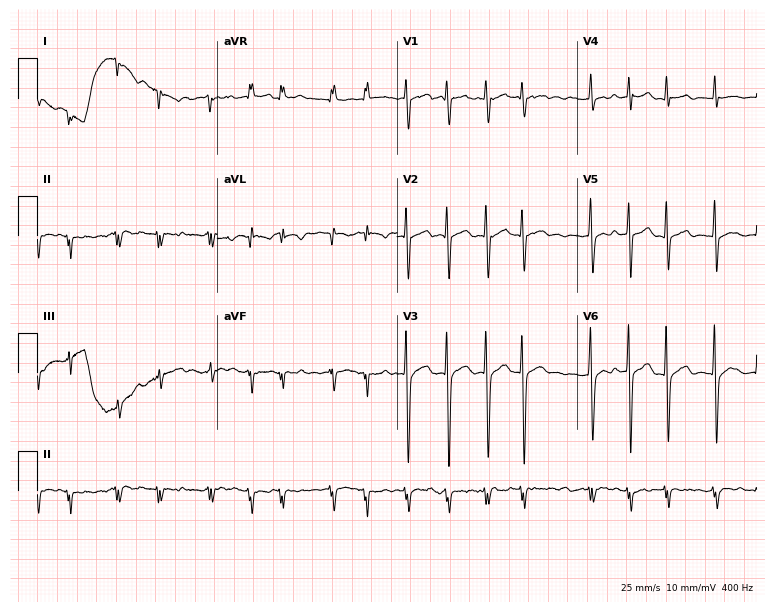
12-lead ECG (7.3-second recording at 400 Hz) from a male patient, 44 years old. Findings include atrial fibrillation.